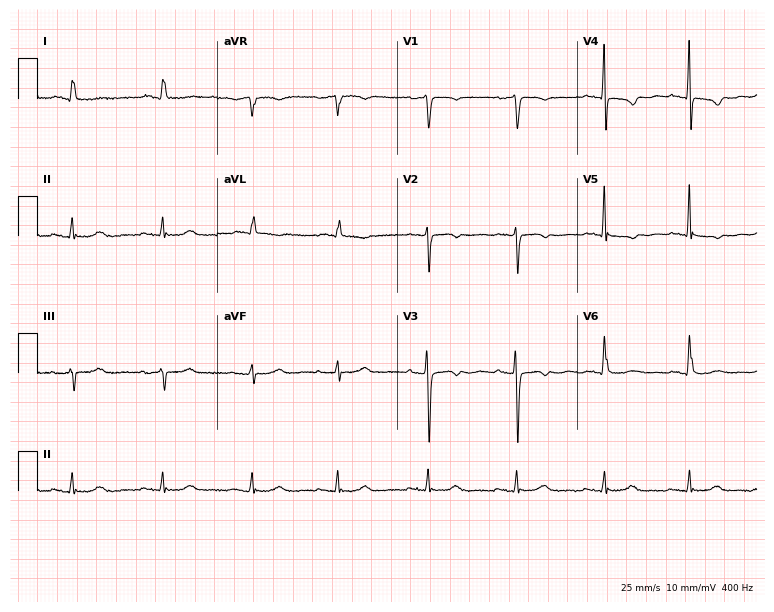
12-lead ECG from a female, 80 years old (7.3-second recording at 400 Hz). No first-degree AV block, right bundle branch block (RBBB), left bundle branch block (LBBB), sinus bradycardia, atrial fibrillation (AF) or sinus tachycardia recorded for this tracing. Only these six findings were labelled.